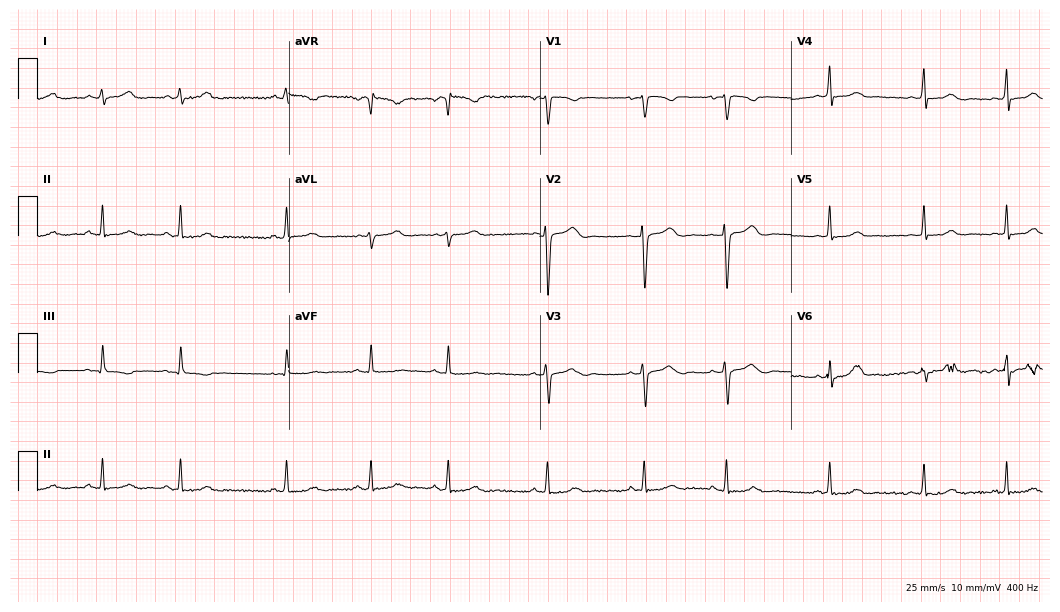
ECG (10.2-second recording at 400 Hz) — an 18-year-old female. Labelled as a normal ECG.